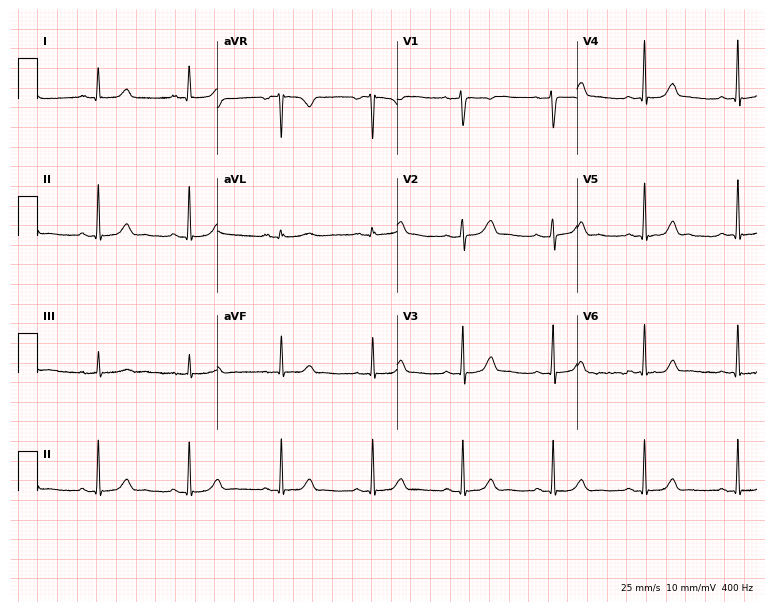
Resting 12-lead electrocardiogram. Patient: a 48-year-old female. Read as a normal ECG.